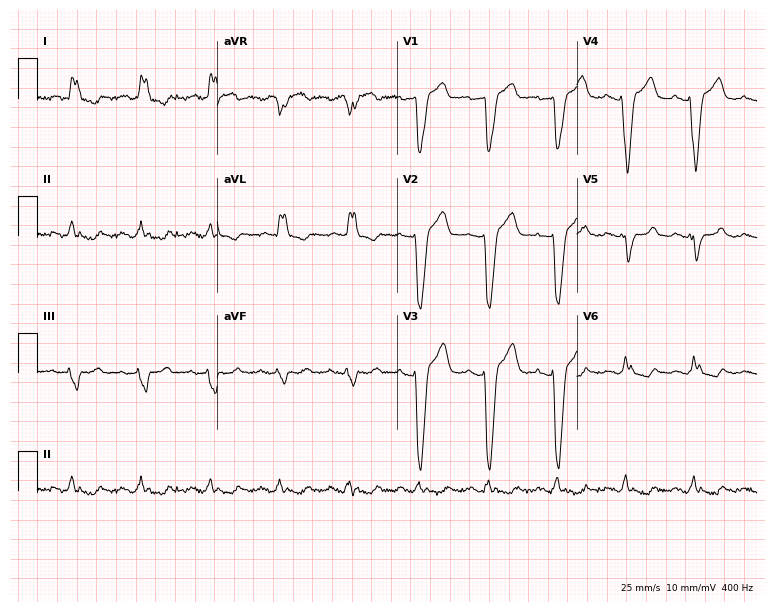
12-lead ECG (7.3-second recording at 400 Hz) from a woman, 72 years old. Screened for six findings — first-degree AV block, right bundle branch block, left bundle branch block, sinus bradycardia, atrial fibrillation, sinus tachycardia — none is recorded.